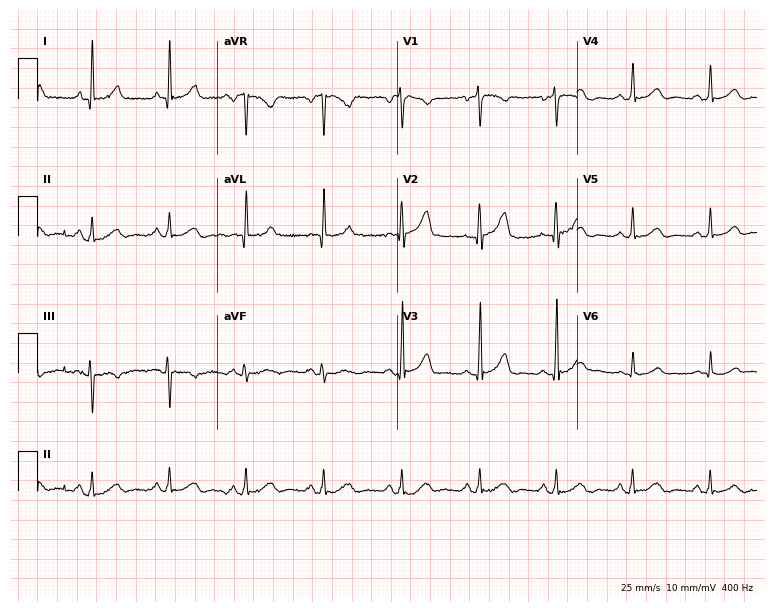
12-lead ECG from a 74-year-old female patient. Recorded interpretation: within normal limits.